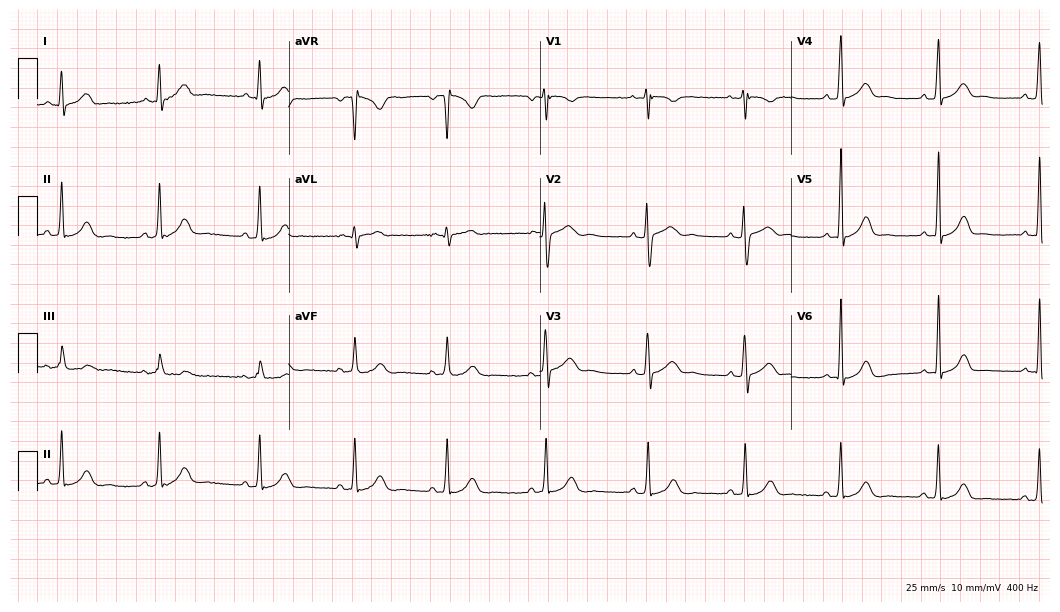
Electrocardiogram (10.2-second recording at 400 Hz), a 30-year-old female patient. Overall reading on record: normal ECG.